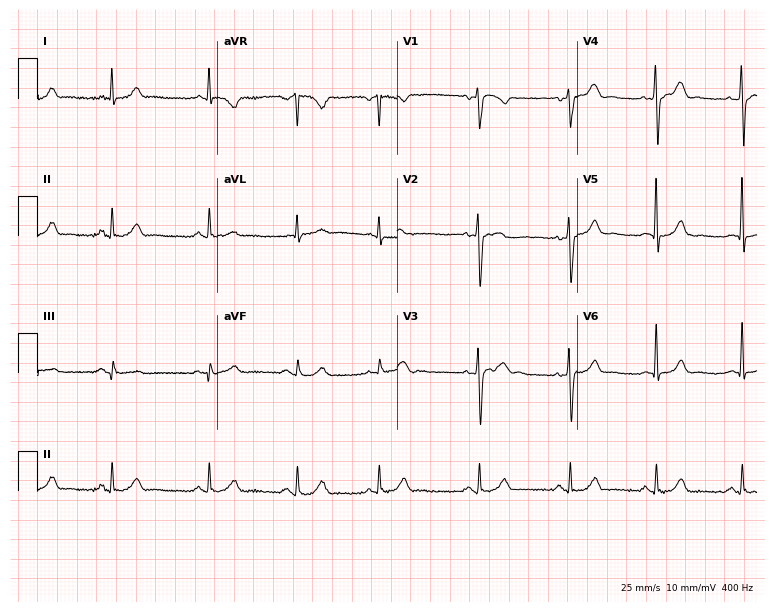
Electrocardiogram, a 47-year-old male patient. Of the six screened findings (first-degree AV block, right bundle branch block, left bundle branch block, sinus bradycardia, atrial fibrillation, sinus tachycardia), none is recorded.